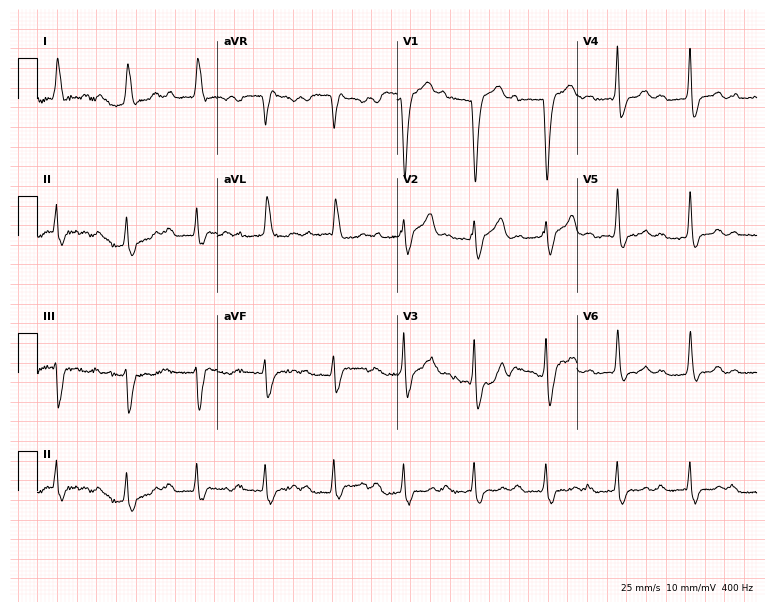
Electrocardiogram (7.3-second recording at 400 Hz), a man, 84 years old. Interpretation includes first-degree AV block.